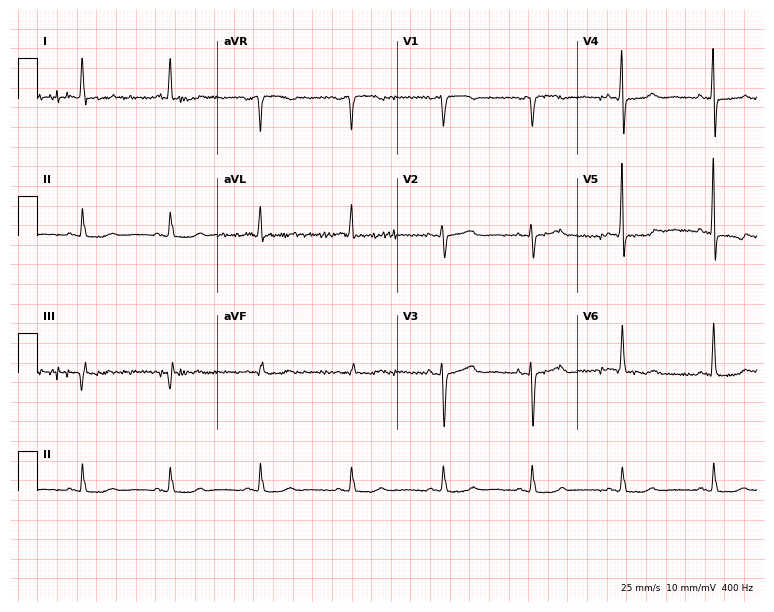
12-lead ECG from an 80-year-old woman. Screened for six findings — first-degree AV block, right bundle branch block, left bundle branch block, sinus bradycardia, atrial fibrillation, sinus tachycardia — none is recorded. Only these six findings were labelled.